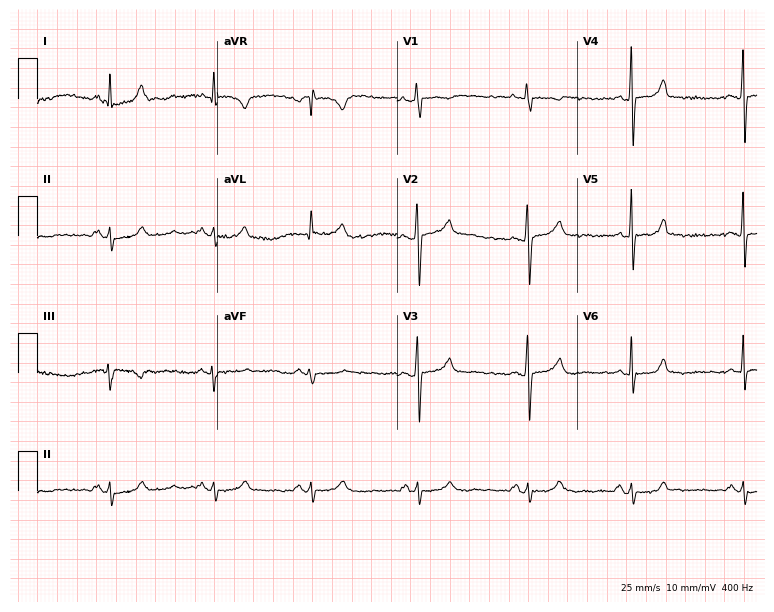
Electrocardiogram (7.3-second recording at 400 Hz), a female, 43 years old. Of the six screened findings (first-degree AV block, right bundle branch block, left bundle branch block, sinus bradycardia, atrial fibrillation, sinus tachycardia), none is recorded. Other findings, if any, are not listed.